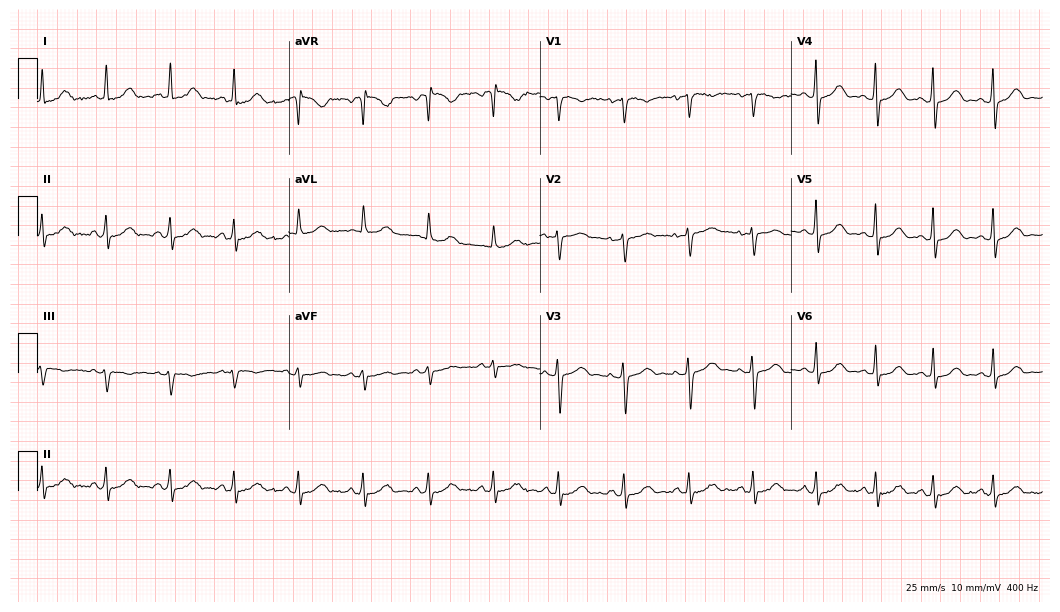
ECG (10.2-second recording at 400 Hz) — a 53-year-old female patient. Labelled as a normal ECG.